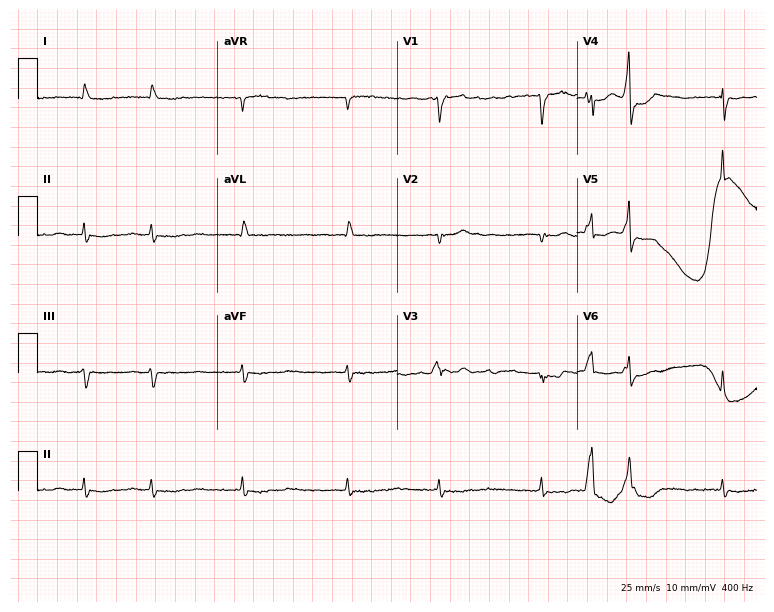
Electrocardiogram, an 83-year-old male. Interpretation includes atrial fibrillation.